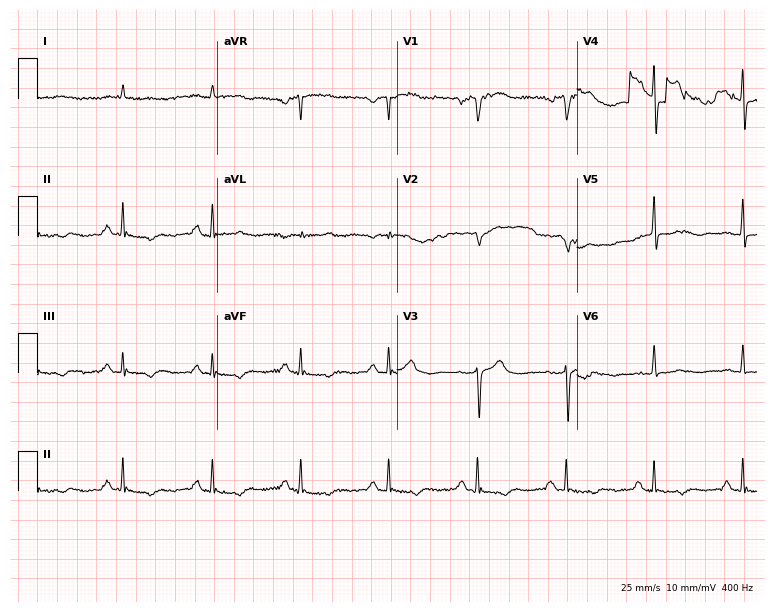
12-lead ECG from a male patient, 76 years old. No first-degree AV block, right bundle branch block, left bundle branch block, sinus bradycardia, atrial fibrillation or sinus tachycardia recorded for this tracing.